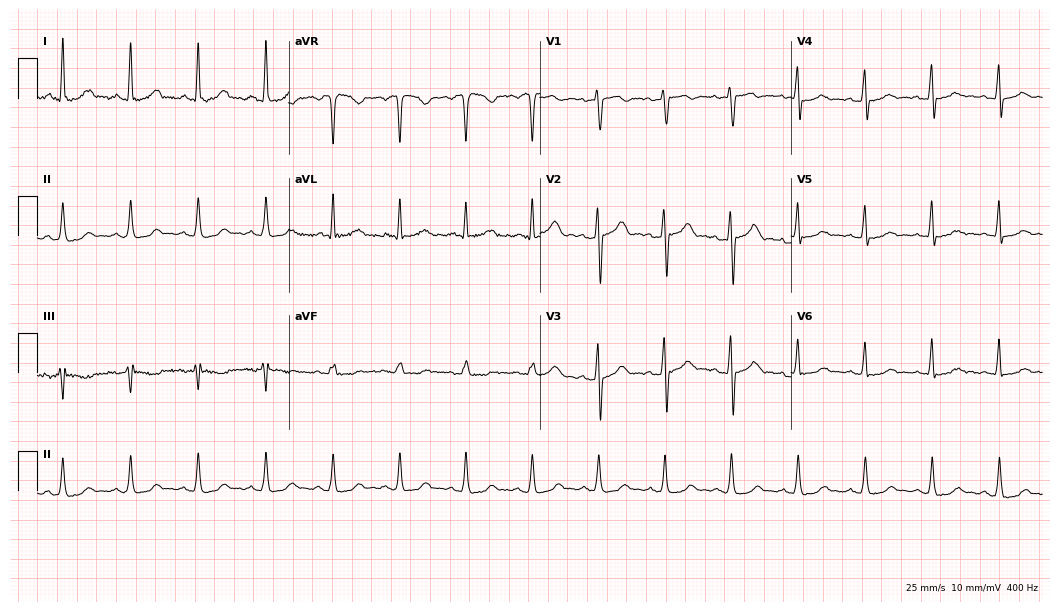
Resting 12-lead electrocardiogram. Patient: a female, 40 years old. Read as a normal ECG.